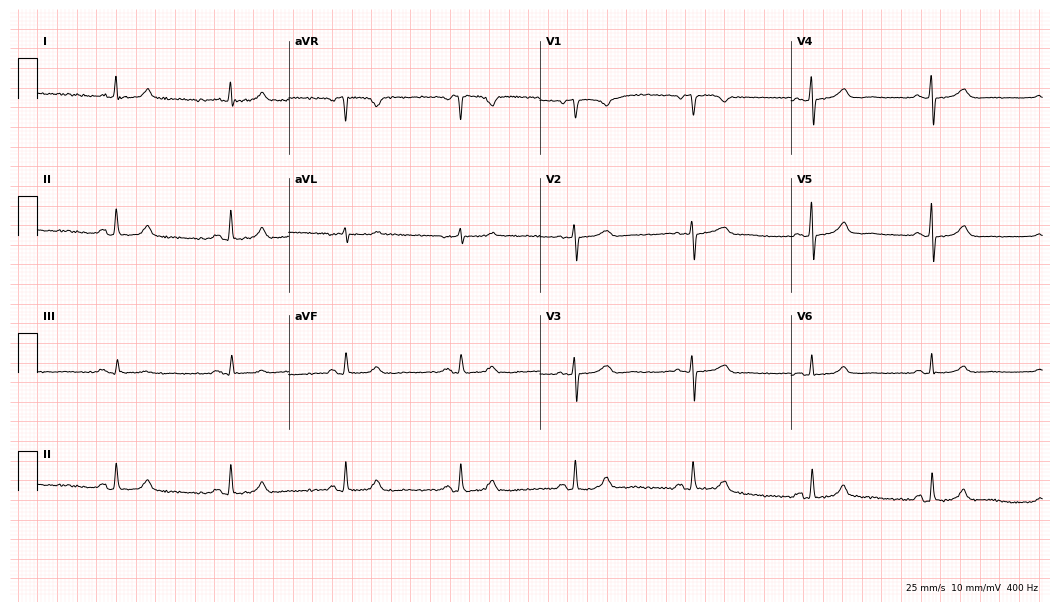
ECG (10.2-second recording at 400 Hz) — a 78-year-old female. Labelled as a normal ECG.